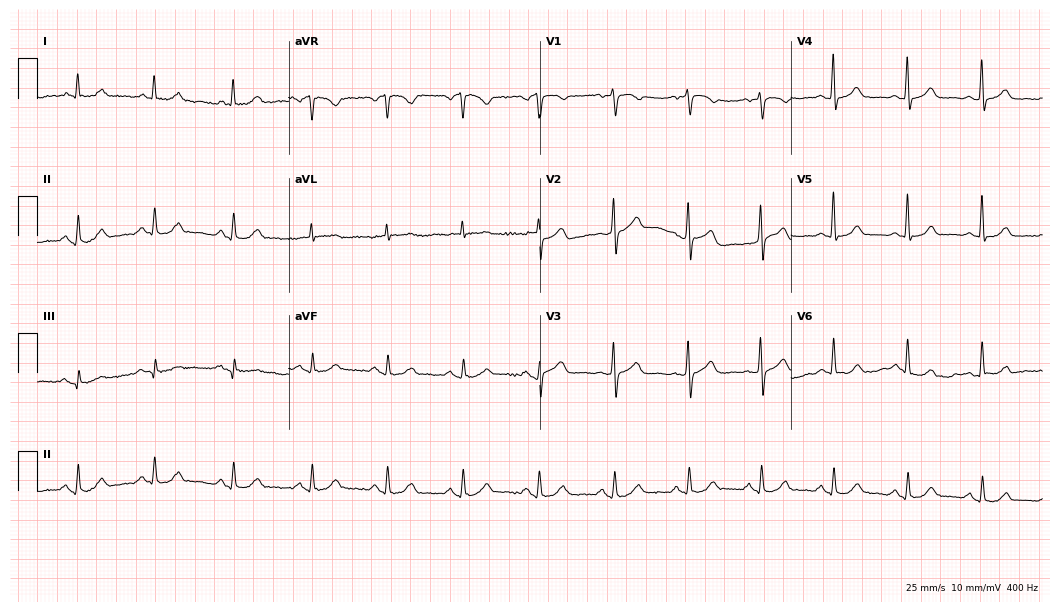
Standard 12-lead ECG recorded from a 69-year-old woman (10.2-second recording at 400 Hz). Read as a normal ECG.